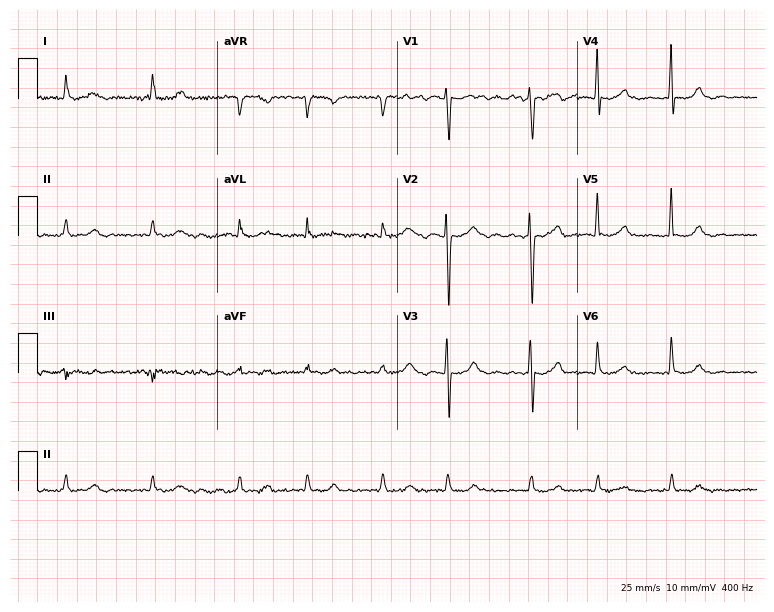
12-lead ECG (7.3-second recording at 400 Hz) from a man, 69 years old. Findings include atrial fibrillation.